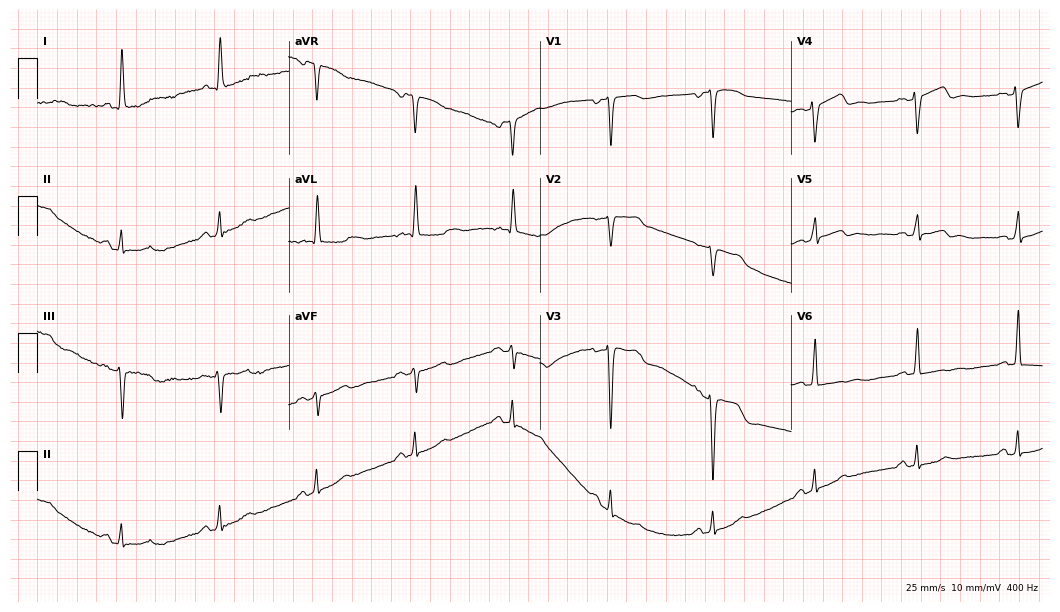
12-lead ECG from an 81-year-old male. Screened for six findings — first-degree AV block, right bundle branch block, left bundle branch block, sinus bradycardia, atrial fibrillation, sinus tachycardia — none is recorded. Only these six findings were labelled.